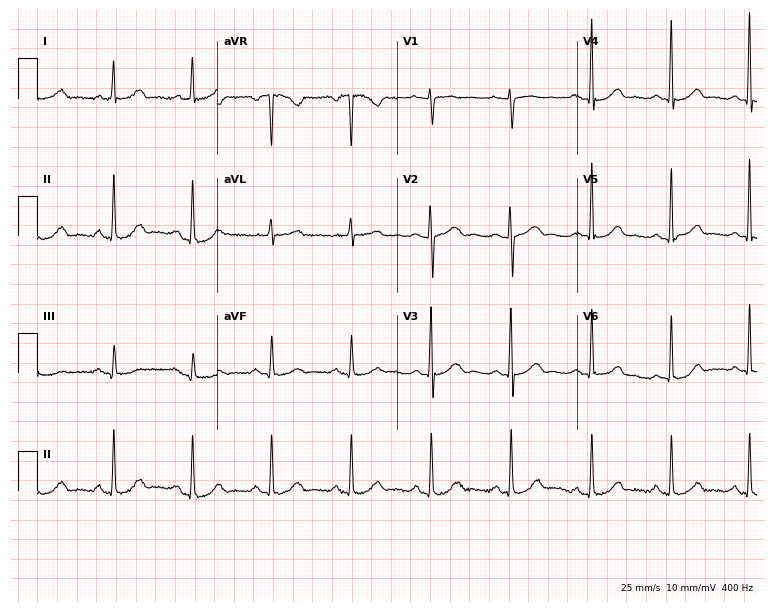
Electrocardiogram (7.3-second recording at 400 Hz), a female, 53 years old. Overall reading on record: normal ECG.